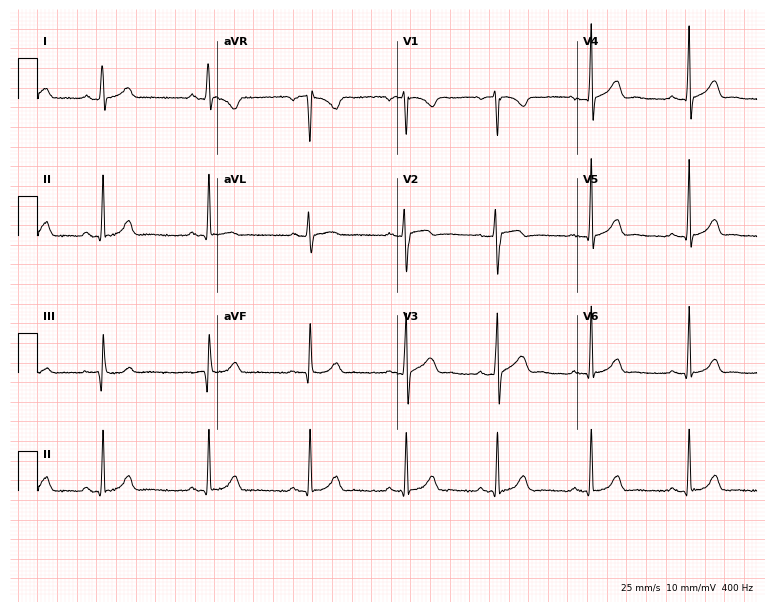
12-lead ECG from a woman, 22 years old. Recorded interpretation: within normal limits.